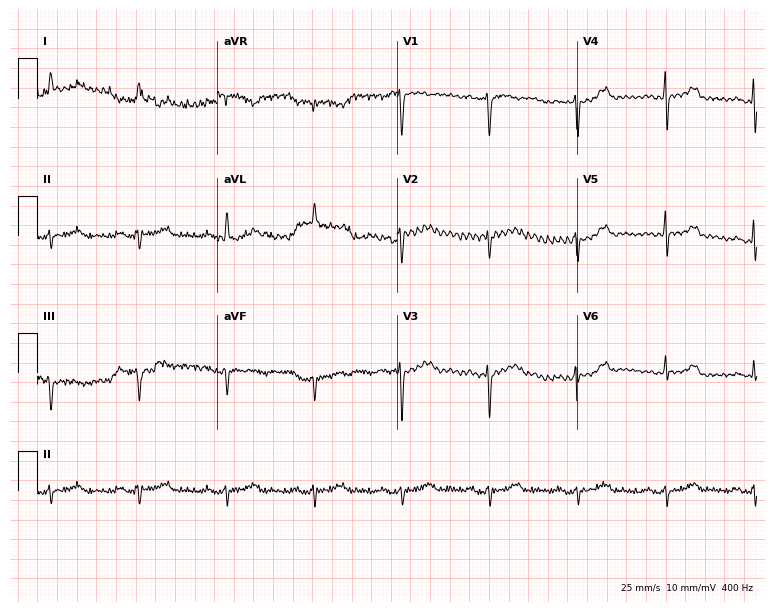
Resting 12-lead electrocardiogram (7.3-second recording at 400 Hz). Patient: a 73-year-old female. None of these six findings is recorded: first-degree AV block, right bundle branch block, left bundle branch block, sinus bradycardia, atrial fibrillation, sinus tachycardia.